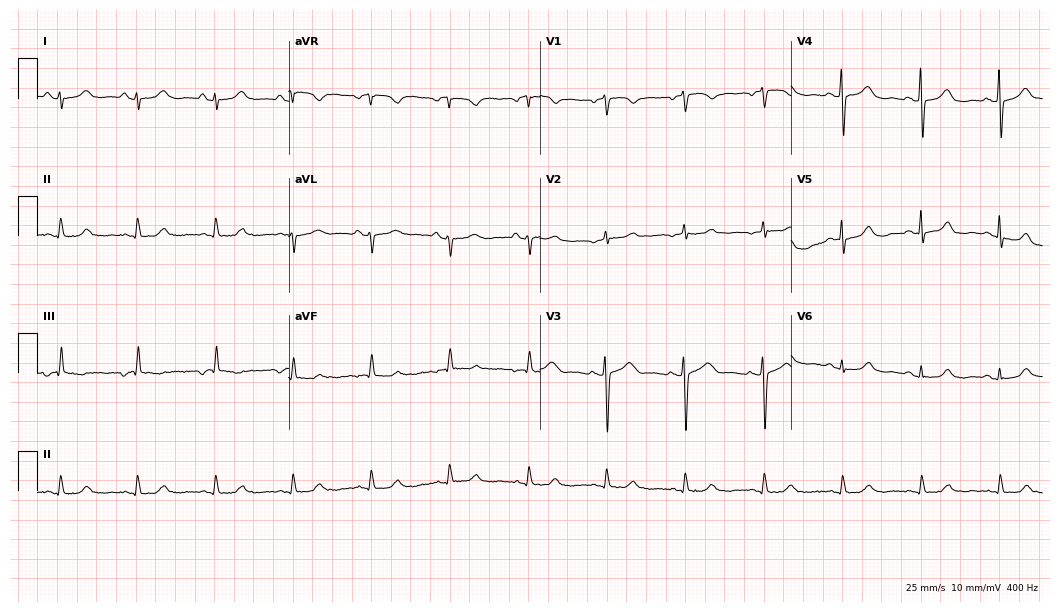
12-lead ECG from a woman, 79 years old (10.2-second recording at 400 Hz). Recorded interpretation: within normal limits.